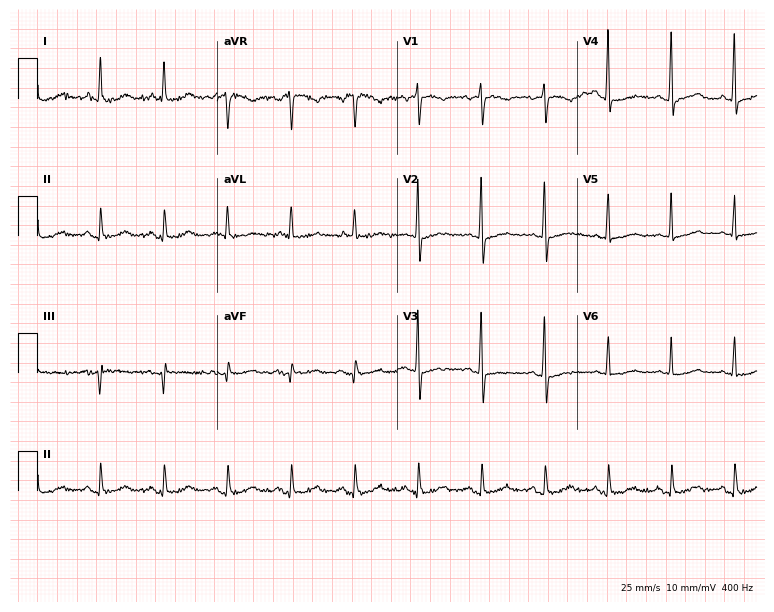
12-lead ECG from an 83-year-old woman (7.3-second recording at 400 Hz). No first-degree AV block, right bundle branch block (RBBB), left bundle branch block (LBBB), sinus bradycardia, atrial fibrillation (AF) or sinus tachycardia recorded for this tracing. Findings outside these six are not listed.